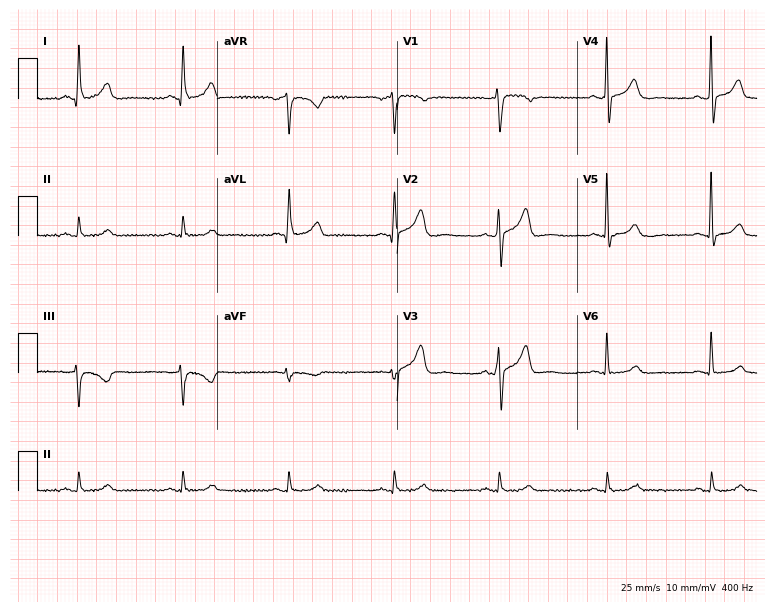
Resting 12-lead electrocardiogram (7.3-second recording at 400 Hz). Patient: a man, 69 years old. Read as a normal ECG.